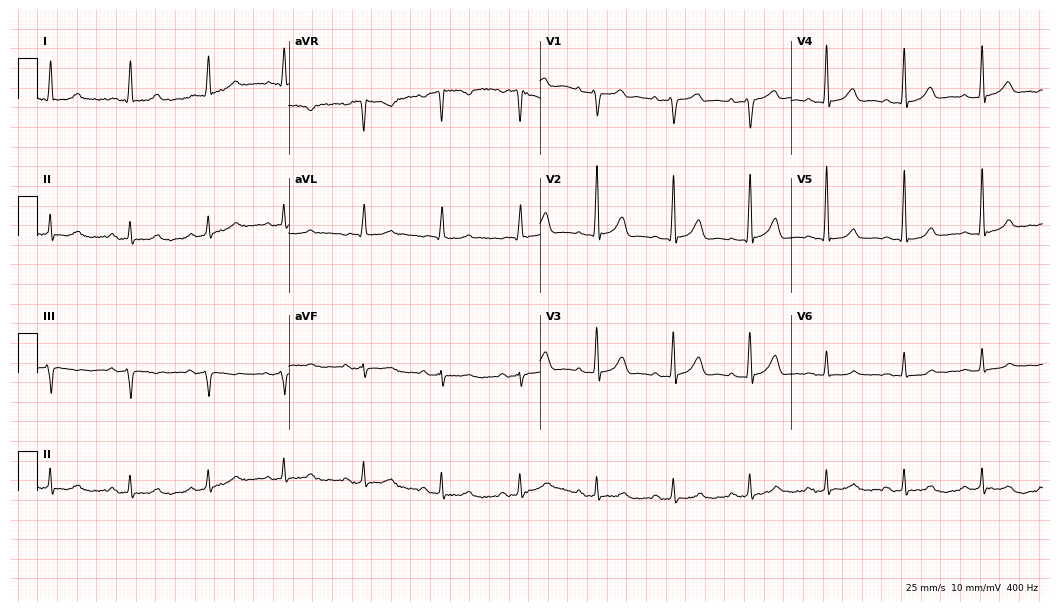
Resting 12-lead electrocardiogram (10.2-second recording at 400 Hz). Patient: a male, 79 years old. Read as a normal ECG.